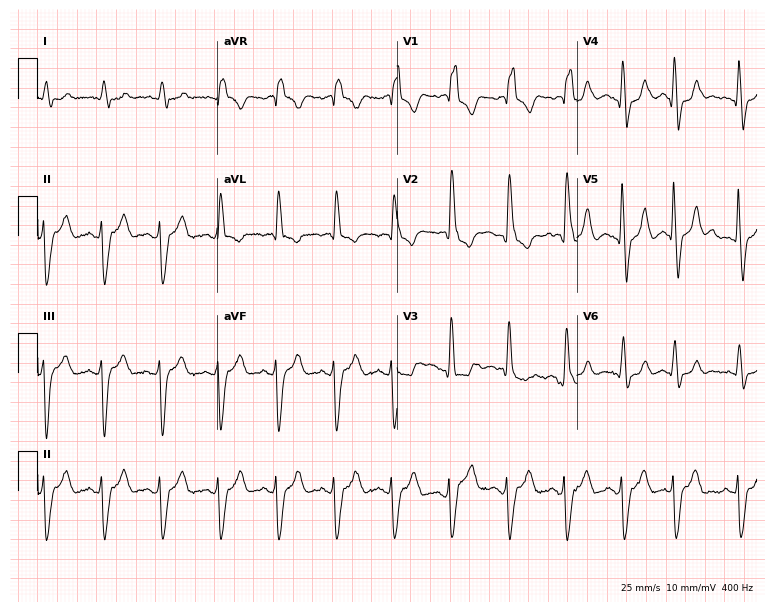
12-lead ECG from an 81-year-old man (7.3-second recording at 400 Hz). Shows right bundle branch block (RBBB), sinus tachycardia (a sinus rate of 100 beats per minute or more).